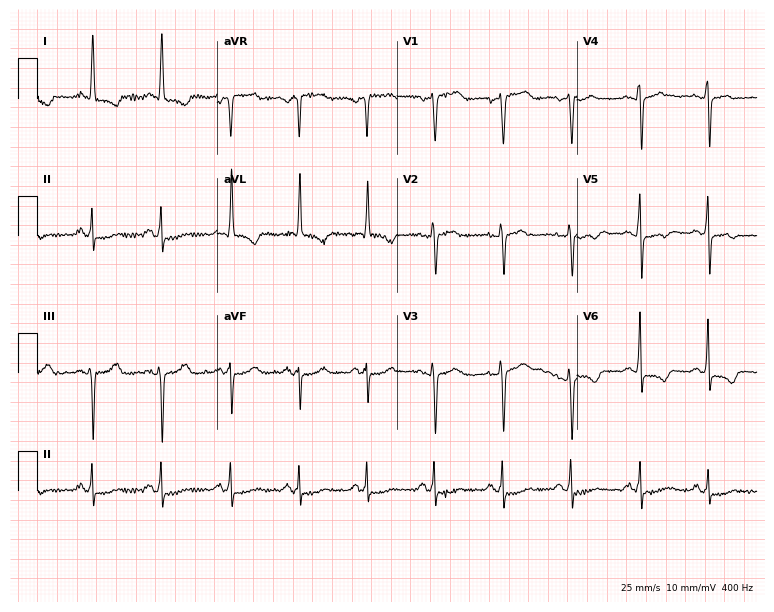
Electrocardiogram (7.3-second recording at 400 Hz), a female patient, 77 years old. Of the six screened findings (first-degree AV block, right bundle branch block, left bundle branch block, sinus bradycardia, atrial fibrillation, sinus tachycardia), none is recorded.